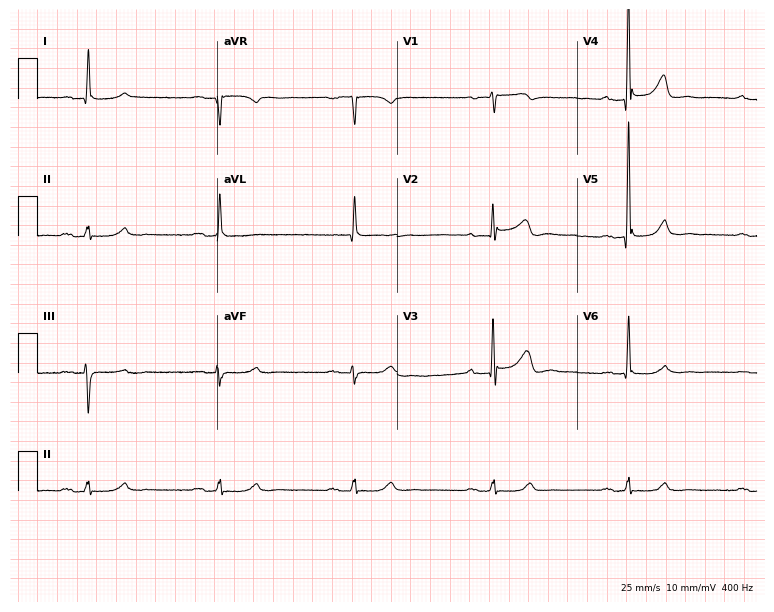
12-lead ECG from an 80-year-old male (7.3-second recording at 400 Hz). Shows first-degree AV block, sinus bradycardia (a sinus rate of 50 beats per minute or less).